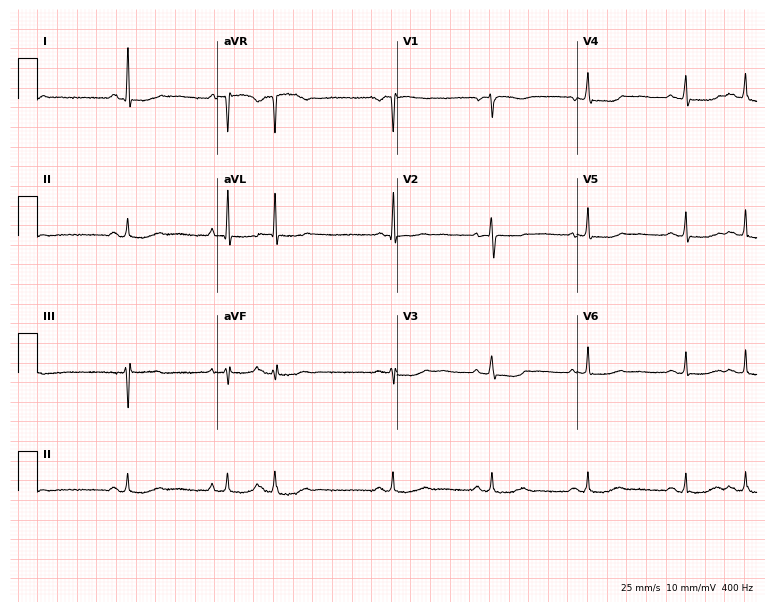
ECG (7.3-second recording at 400 Hz) — a female patient, 62 years old. Screened for six findings — first-degree AV block, right bundle branch block, left bundle branch block, sinus bradycardia, atrial fibrillation, sinus tachycardia — none is recorded. Findings outside these six are not listed.